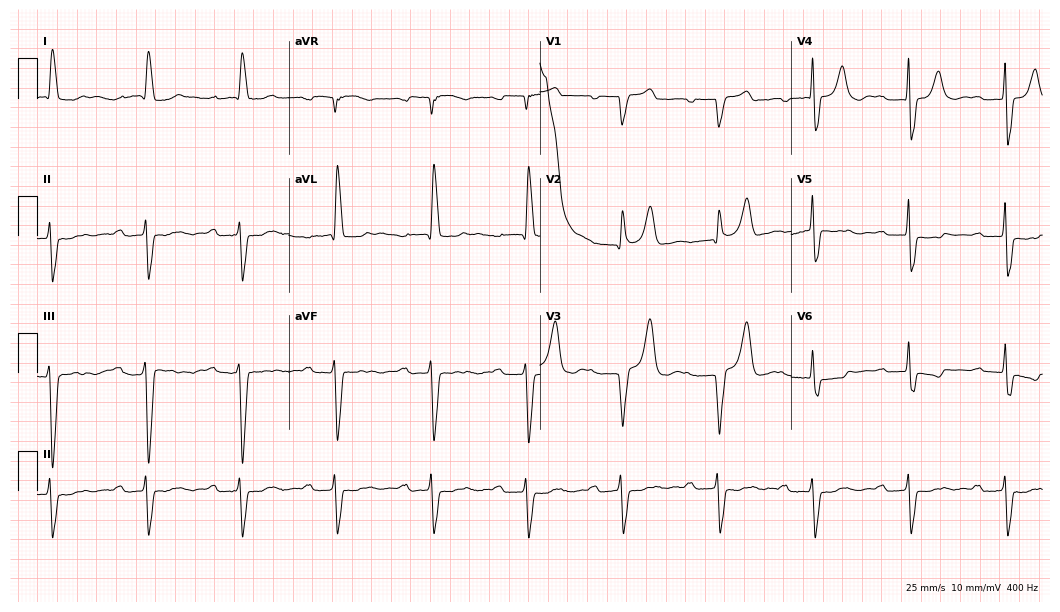
Resting 12-lead electrocardiogram. Patient: a woman, 78 years old. The tracing shows first-degree AV block, left bundle branch block.